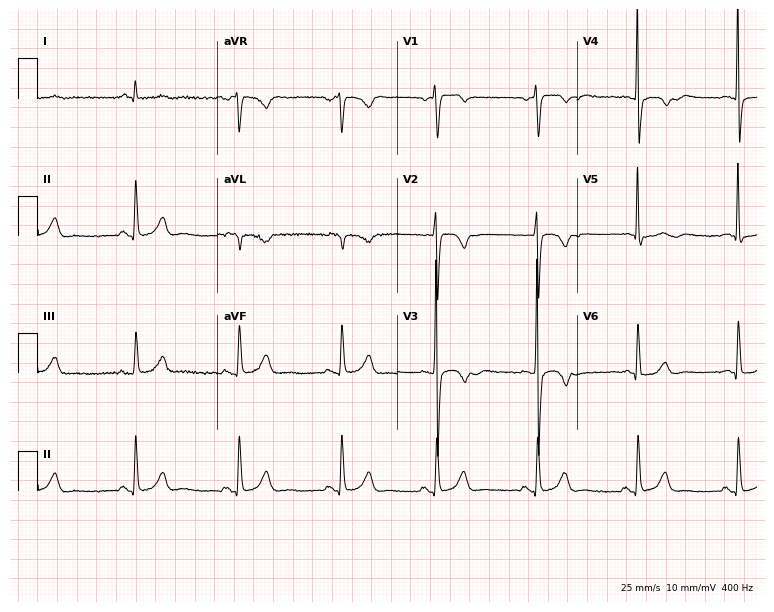
ECG — a male, 72 years old. Screened for six findings — first-degree AV block, right bundle branch block, left bundle branch block, sinus bradycardia, atrial fibrillation, sinus tachycardia — none is recorded.